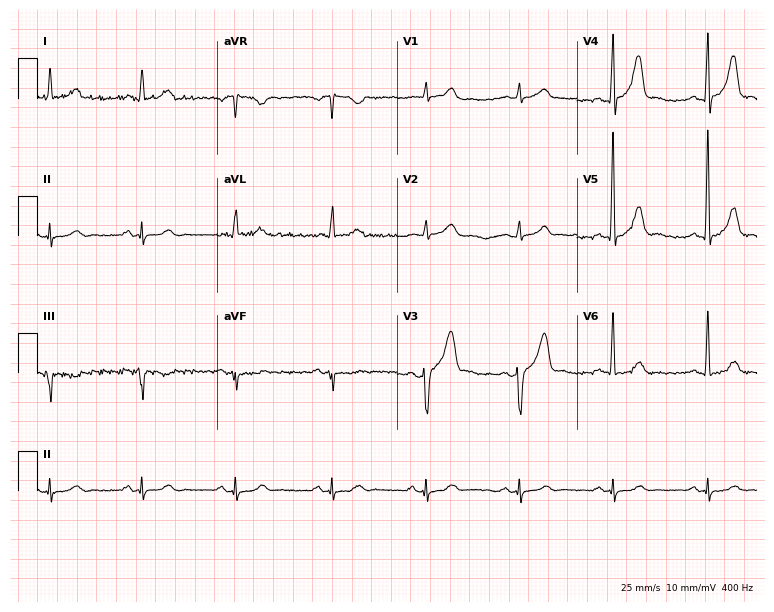
12-lead ECG from a man, 54 years old. Screened for six findings — first-degree AV block, right bundle branch block, left bundle branch block, sinus bradycardia, atrial fibrillation, sinus tachycardia — none is recorded. Findings outside these six are not listed.